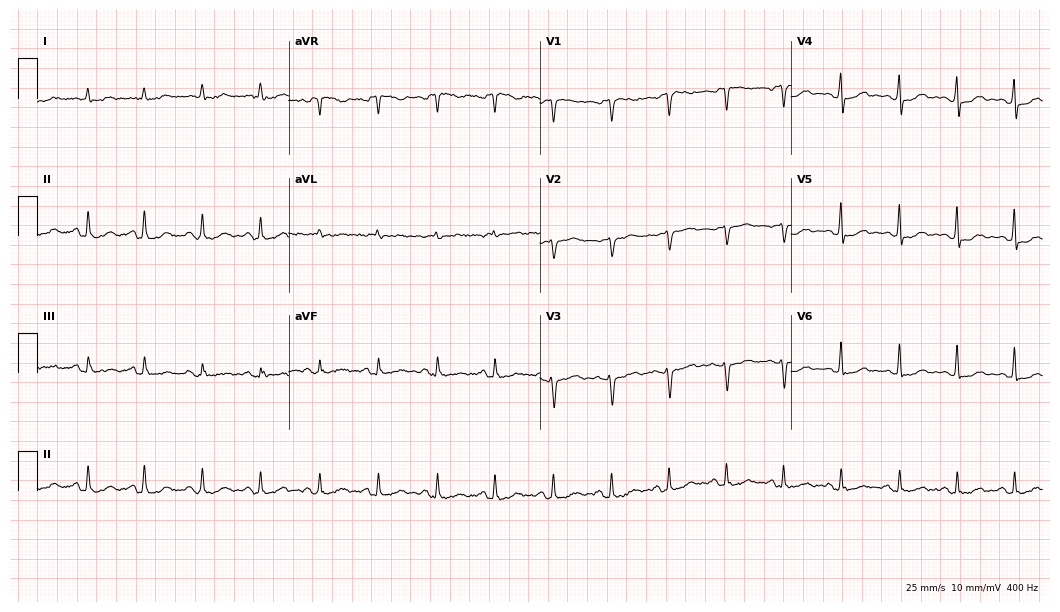
Standard 12-lead ECG recorded from a 62-year-old woman. The tracing shows sinus tachycardia (a sinus rate of 100 beats per minute or more).